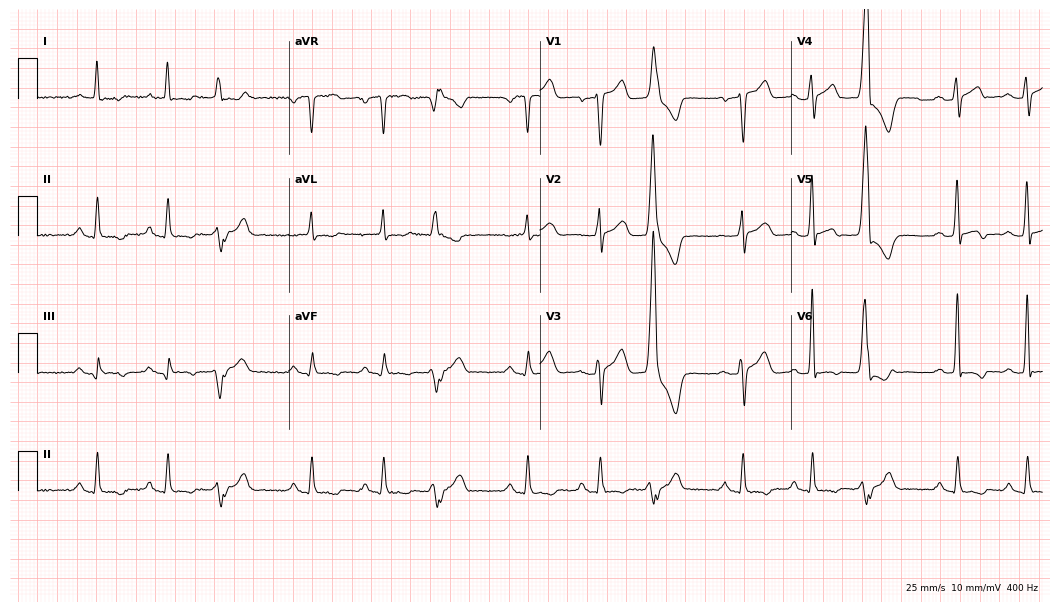
Electrocardiogram (10.2-second recording at 400 Hz), a 71-year-old male patient. Of the six screened findings (first-degree AV block, right bundle branch block (RBBB), left bundle branch block (LBBB), sinus bradycardia, atrial fibrillation (AF), sinus tachycardia), none is recorded. Other findings, if any, are not listed.